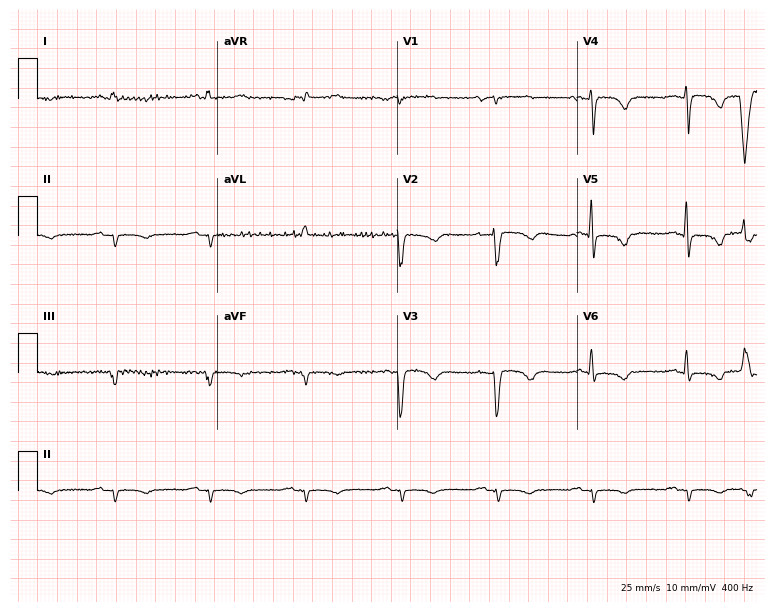
Resting 12-lead electrocardiogram (7.3-second recording at 400 Hz). Patient: a 36-year-old male. None of these six findings is recorded: first-degree AV block, right bundle branch block, left bundle branch block, sinus bradycardia, atrial fibrillation, sinus tachycardia.